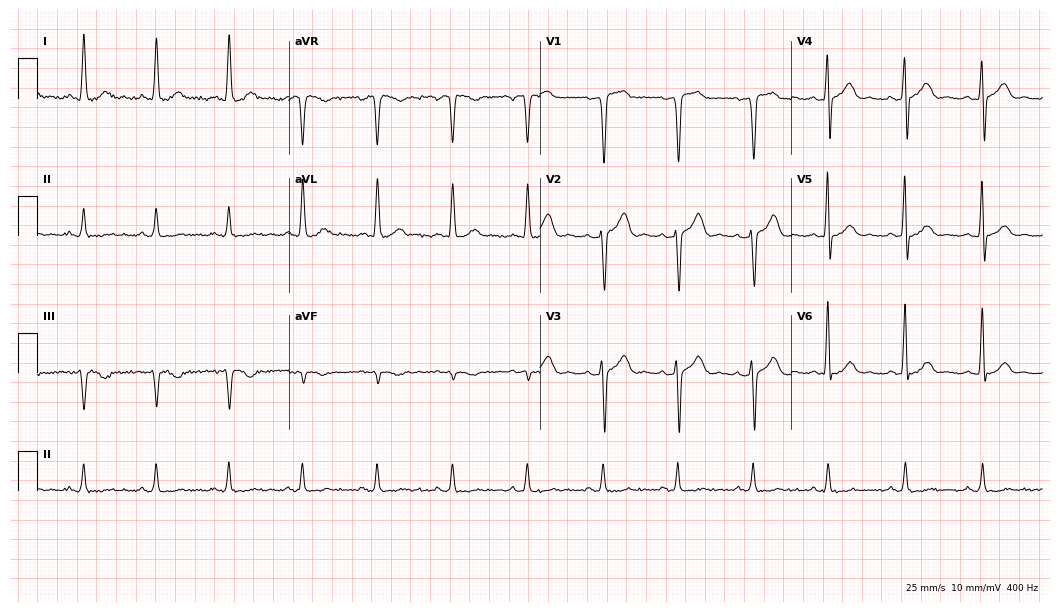
Electrocardiogram, a male, 47 years old. Of the six screened findings (first-degree AV block, right bundle branch block, left bundle branch block, sinus bradycardia, atrial fibrillation, sinus tachycardia), none is recorded. Other findings, if any, are not listed.